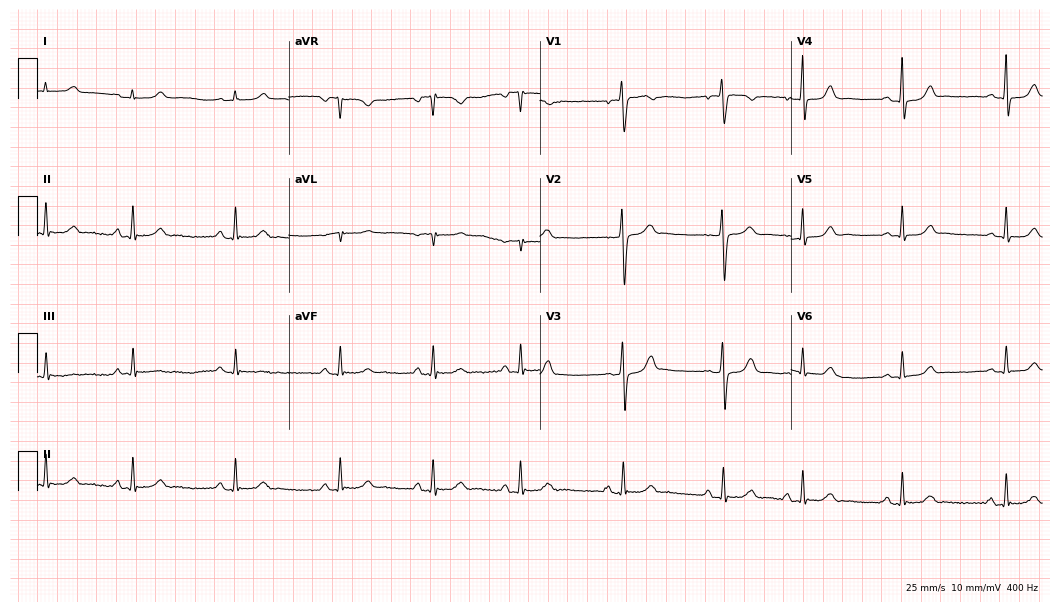
Standard 12-lead ECG recorded from a woman, 21 years old (10.2-second recording at 400 Hz). Read as a normal ECG.